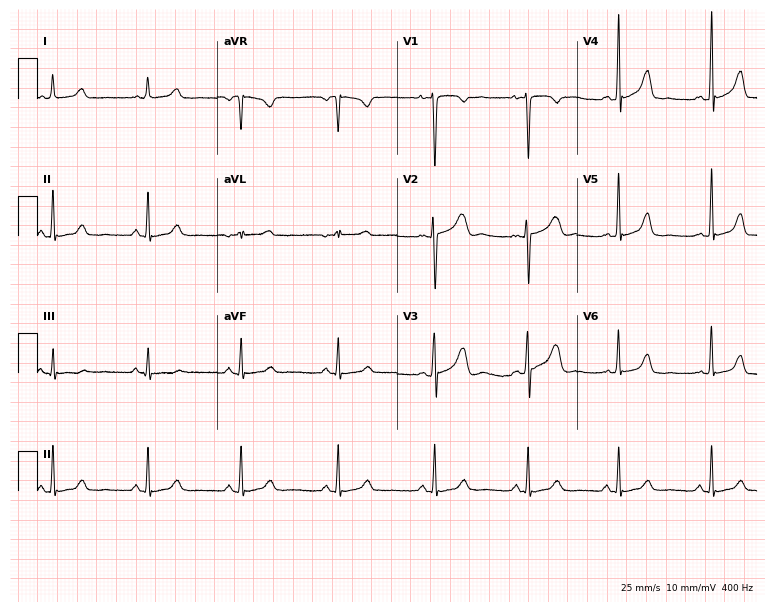
Standard 12-lead ECG recorded from a female, 32 years old (7.3-second recording at 400 Hz). None of these six findings is recorded: first-degree AV block, right bundle branch block (RBBB), left bundle branch block (LBBB), sinus bradycardia, atrial fibrillation (AF), sinus tachycardia.